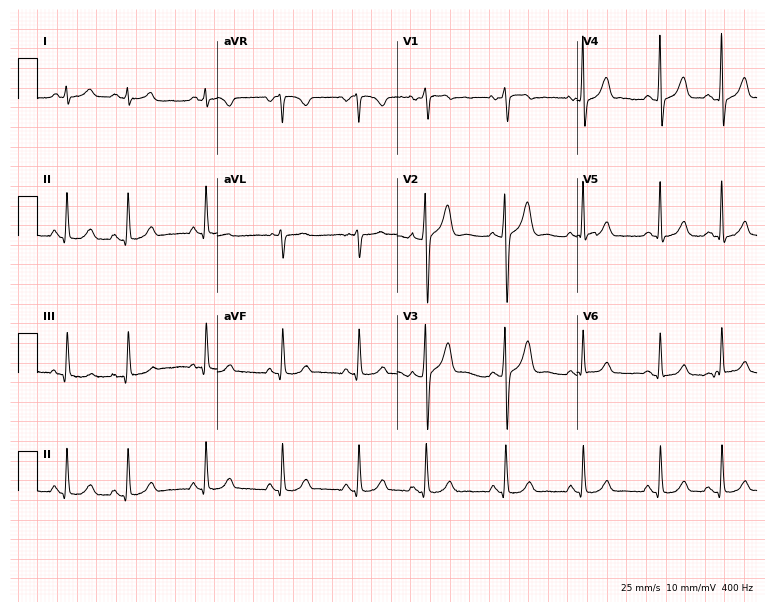
Standard 12-lead ECG recorded from a 63-year-old man. None of these six findings is recorded: first-degree AV block, right bundle branch block, left bundle branch block, sinus bradycardia, atrial fibrillation, sinus tachycardia. Findings outside these six are not listed.